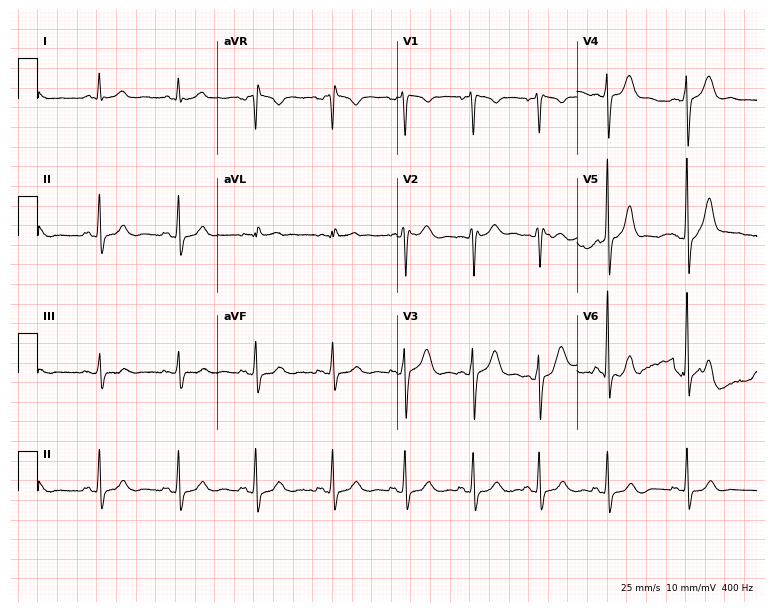
12-lead ECG from a man, 34 years old. No first-degree AV block, right bundle branch block (RBBB), left bundle branch block (LBBB), sinus bradycardia, atrial fibrillation (AF) or sinus tachycardia recorded for this tracing.